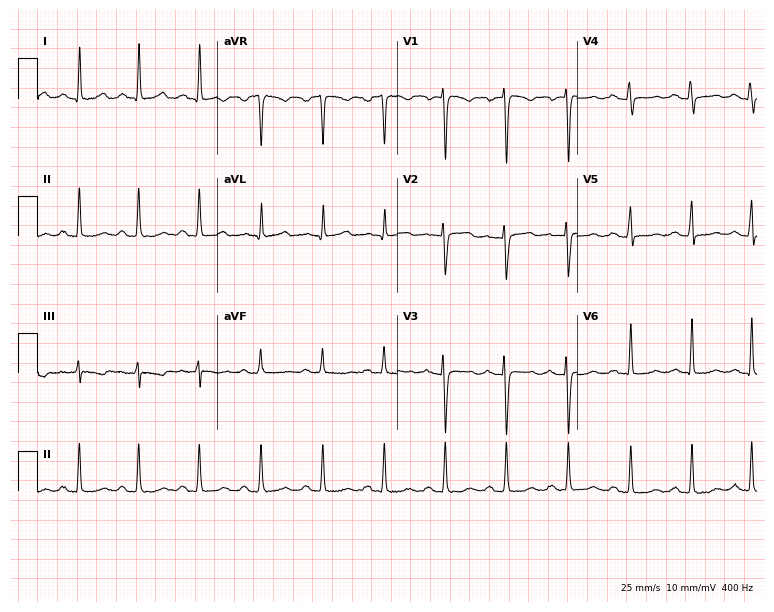
Electrocardiogram (7.3-second recording at 400 Hz), a 41-year-old female. Of the six screened findings (first-degree AV block, right bundle branch block, left bundle branch block, sinus bradycardia, atrial fibrillation, sinus tachycardia), none is recorded. Findings outside these six are not listed.